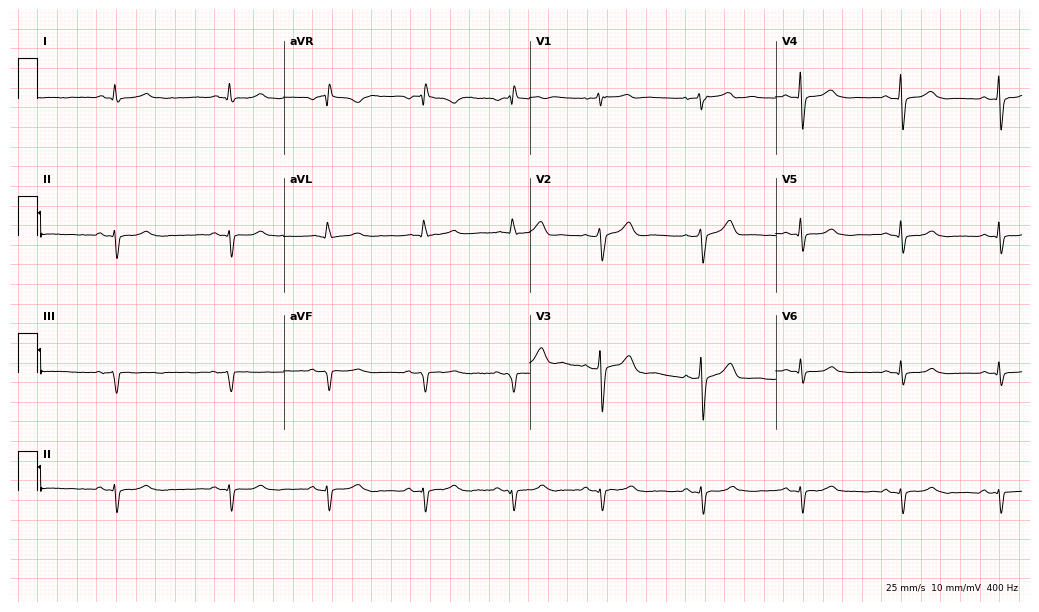
Standard 12-lead ECG recorded from a 58-year-old man. None of these six findings is recorded: first-degree AV block, right bundle branch block (RBBB), left bundle branch block (LBBB), sinus bradycardia, atrial fibrillation (AF), sinus tachycardia.